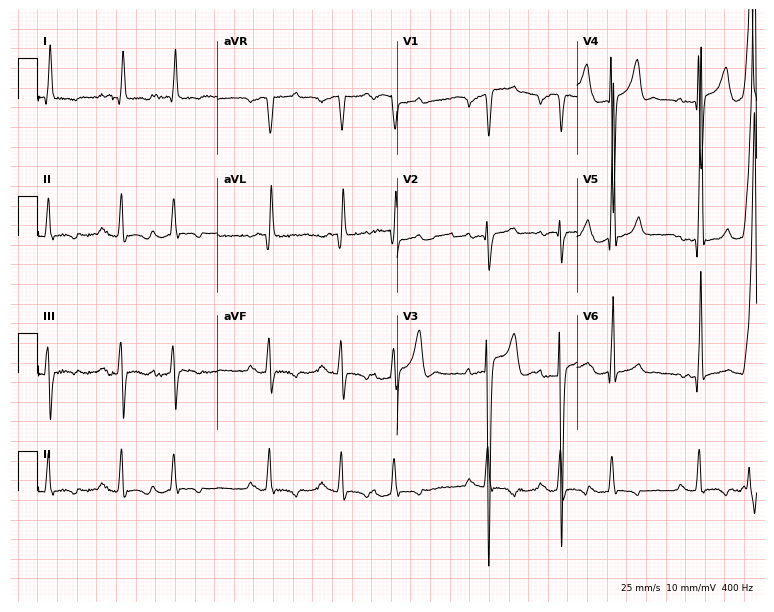
12-lead ECG from a 50-year-old male patient. No first-degree AV block, right bundle branch block (RBBB), left bundle branch block (LBBB), sinus bradycardia, atrial fibrillation (AF) or sinus tachycardia recorded for this tracing.